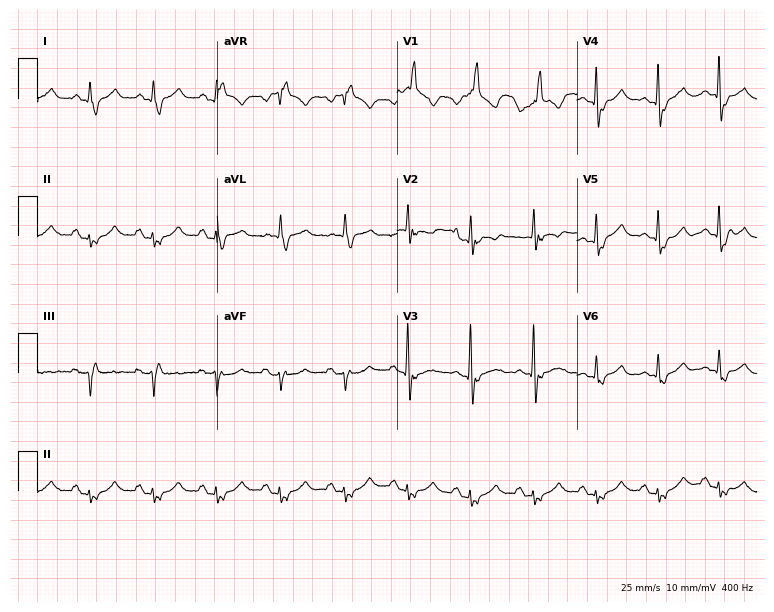
ECG (7.3-second recording at 400 Hz) — a female patient, 58 years old. Findings include right bundle branch block (RBBB).